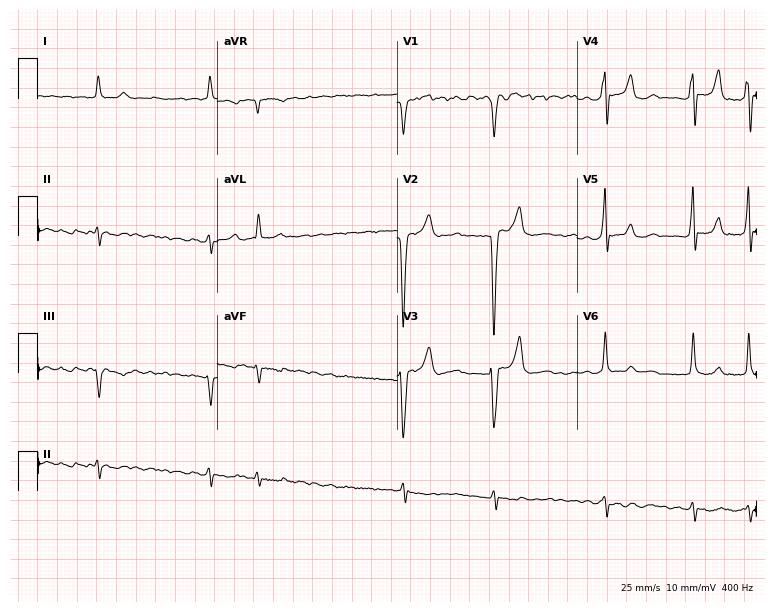
Resting 12-lead electrocardiogram (7.3-second recording at 400 Hz). Patient: a 65-year-old male. The tracing shows atrial fibrillation.